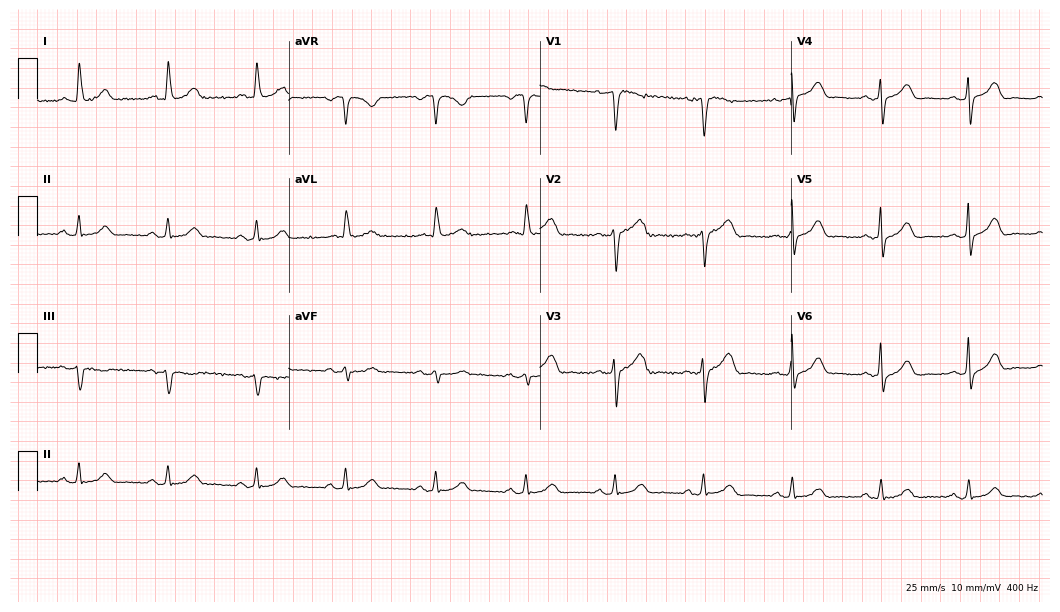
ECG — a 73-year-old female patient. Labelled as a normal ECG.